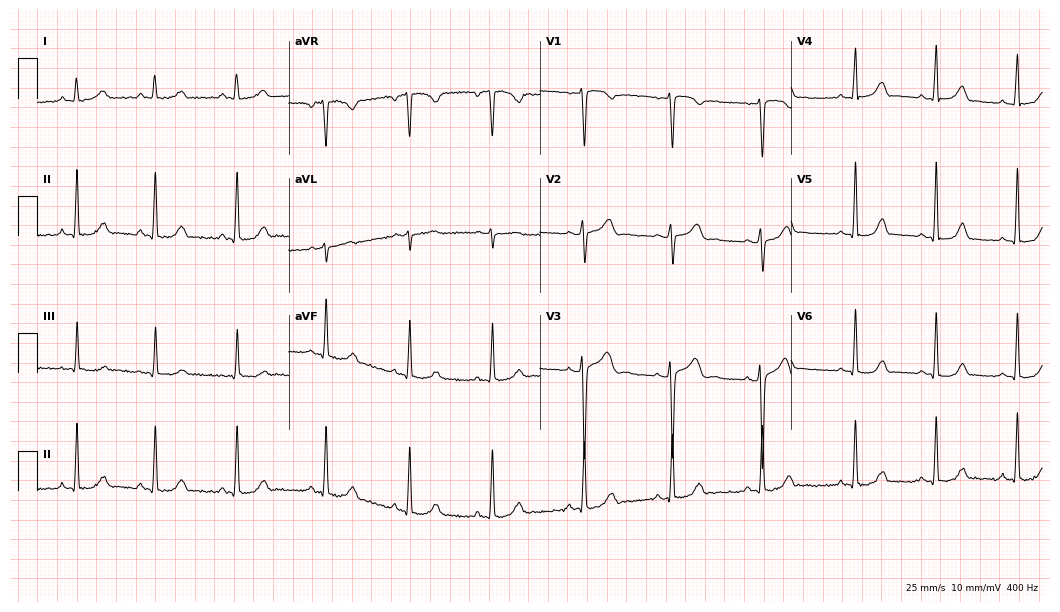
ECG — a 19-year-old female. Labelled as a normal ECG.